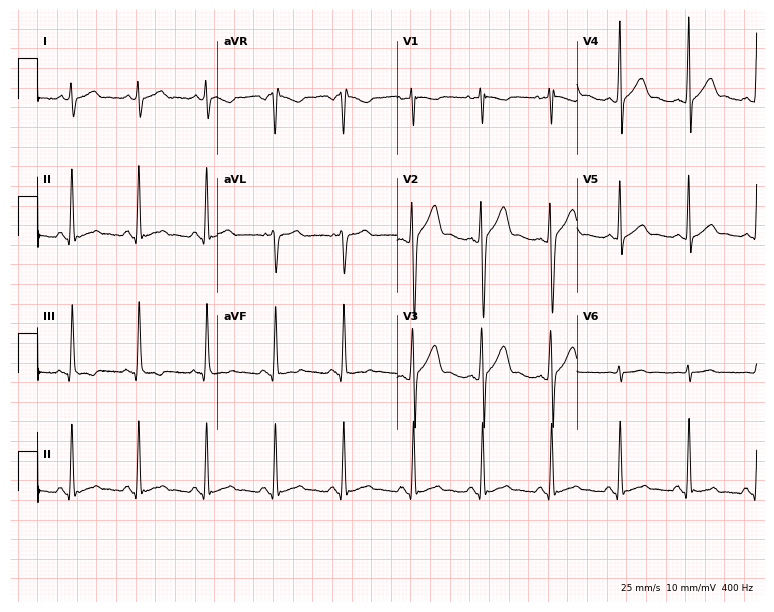
12-lead ECG from a man, 27 years old. Screened for six findings — first-degree AV block, right bundle branch block, left bundle branch block, sinus bradycardia, atrial fibrillation, sinus tachycardia — none is recorded. Other findings, if any, are not listed.